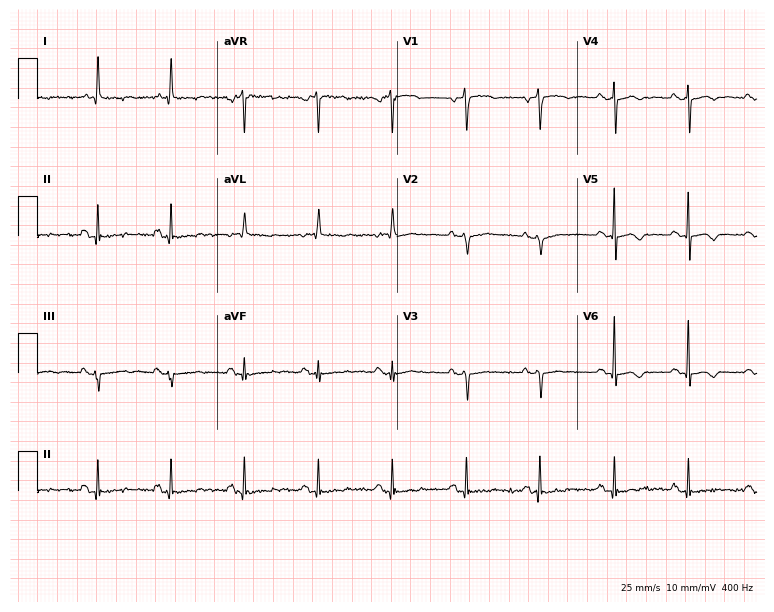
12-lead ECG from a woman, 85 years old. Screened for six findings — first-degree AV block, right bundle branch block (RBBB), left bundle branch block (LBBB), sinus bradycardia, atrial fibrillation (AF), sinus tachycardia — none is recorded. Only these six findings were labelled.